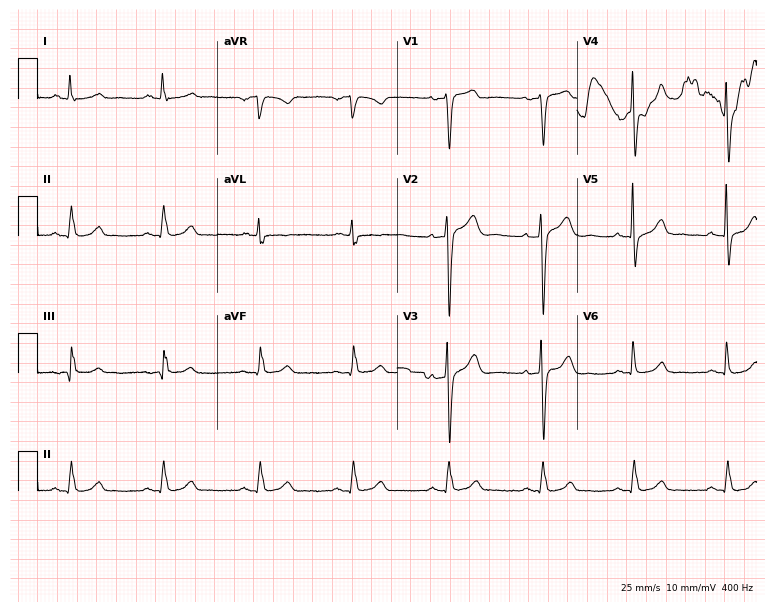
12-lead ECG from a male, 53 years old. Labelled as a normal ECG.